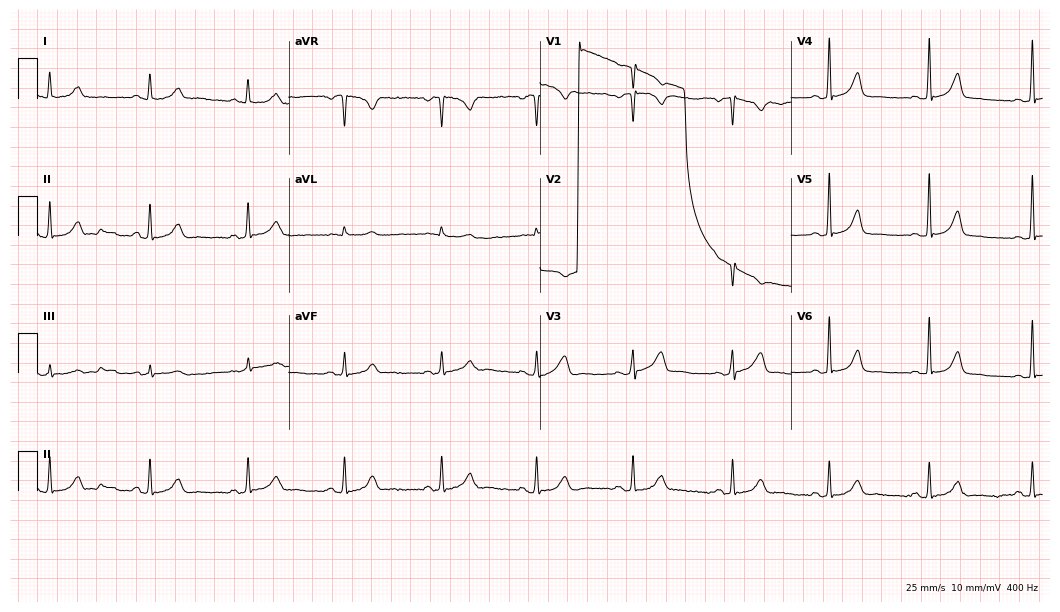
ECG — a 50-year-old female patient. Labelled as a normal ECG.